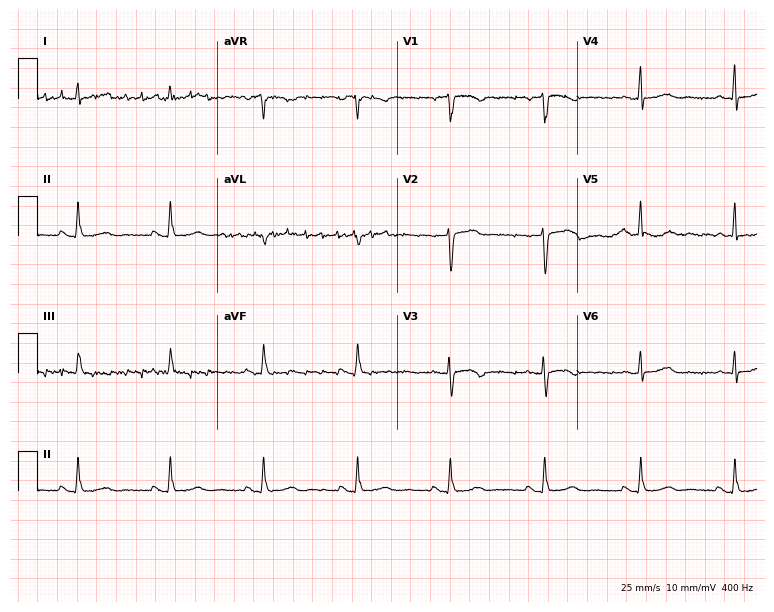
12-lead ECG from a woman, 60 years old (7.3-second recording at 400 Hz). No first-degree AV block, right bundle branch block, left bundle branch block, sinus bradycardia, atrial fibrillation or sinus tachycardia recorded for this tracing.